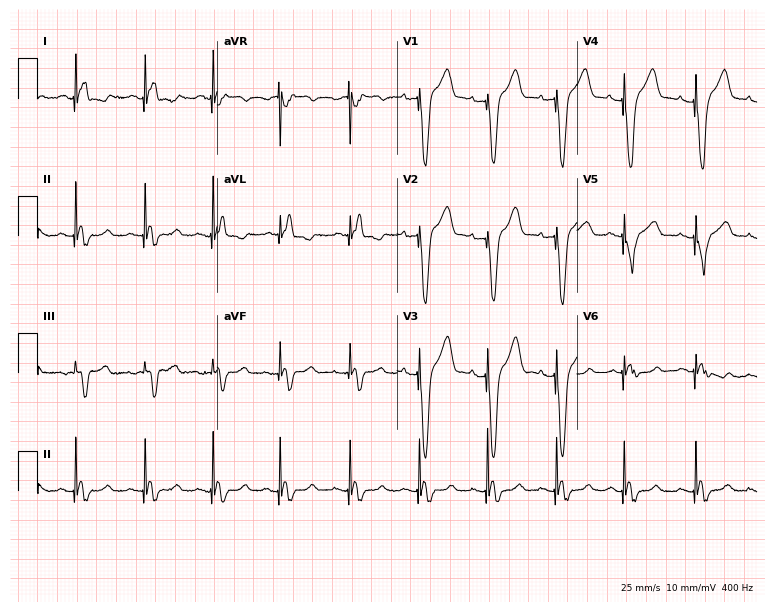
ECG (7.3-second recording at 400 Hz) — a female, 76 years old. Screened for six findings — first-degree AV block, right bundle branch block, left bundle branch block, sinus bradycardia, atrial fibrillation, sinus tachycardia — none is recorded. Other findings, if any, are not listed.